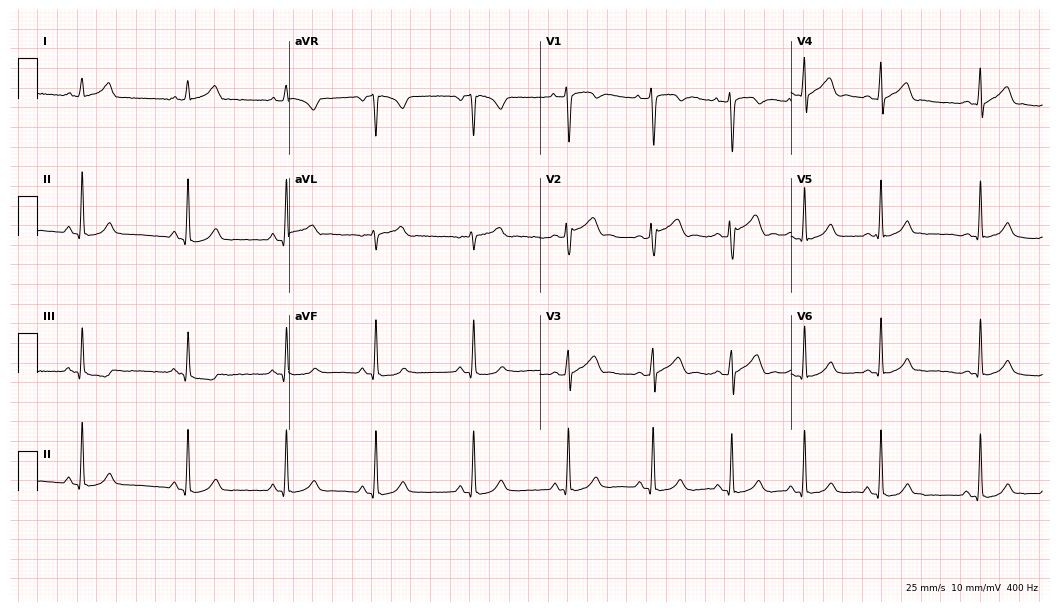
Electrocardiogram, a man, 18 years old. Overall reading on record: normal ECG.